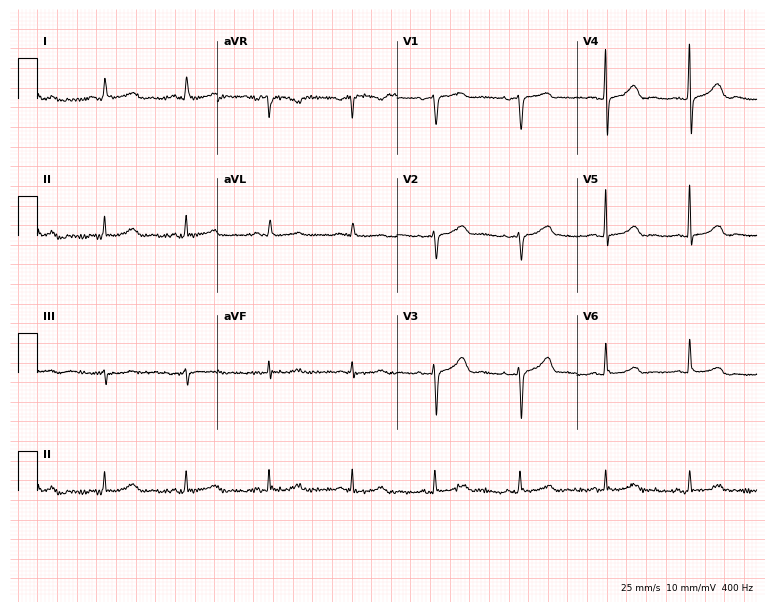
Electrocardiogram (7.3-second recording at 400 Hz), a 73-year-old female. Of the six screened findings (first-degree AV block, right bundle branch block (RBBB), left bundle branch block (LBBB), sinus bradycardia, atrial fibrillation (AF), sinus tachycardia), none is recorded.